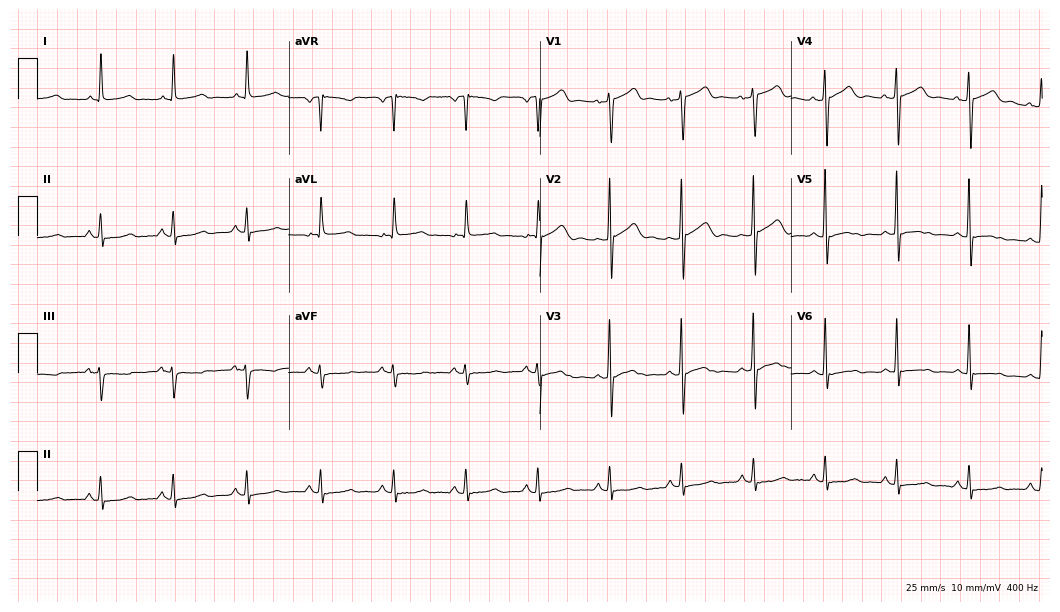
Resting 12-lead electrocardiogram. Patient: a woman, 79 years old. None of these six findings is recorded: first-degree AV block, right bundle branch block, left bundle branch block, sinus bradycardia, atrial fibrillation, sinus tachycardia. Other findings, if any, are not listed.